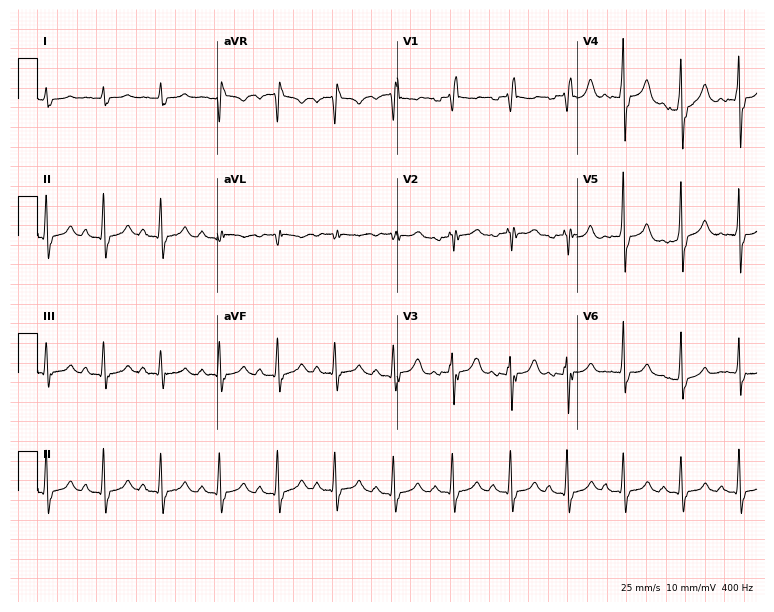
Electrocardiogram, an 80-year-old male patient. Of the six screened findings (first-degree AV block, right bundle branch block, left bundle branch block, sinus bradycardia, atrial fibrillation, sinus tachycardia), none is recorded.